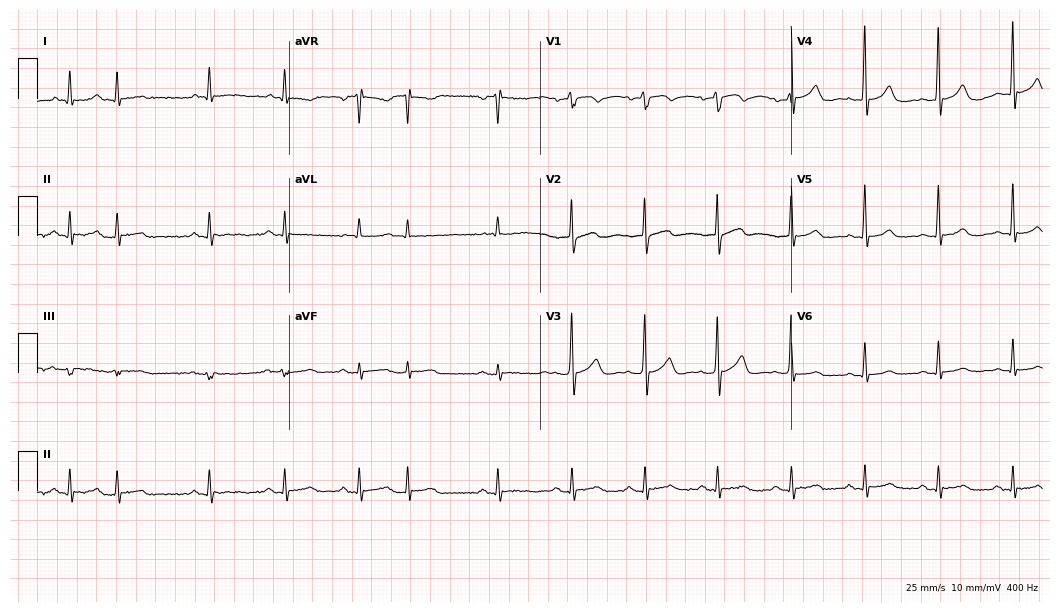
Resting 12-lead electrocardiogram (10.2-second recording at 400 Hz). Patient: a male, 65 years old. None of these six findings is recorded: first-degree AV block, right bundle branch block, left bundle branch block, sinus bradycardia, atrial fibrillation, sinus tachycardia. Findings outside these six are not listed.